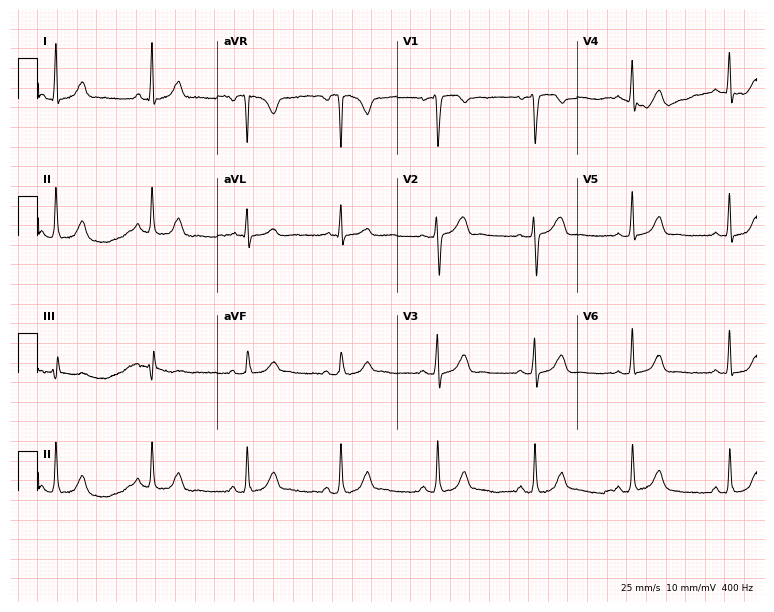
ECG — a female, 47 years old. Labelled as a normal ECG.